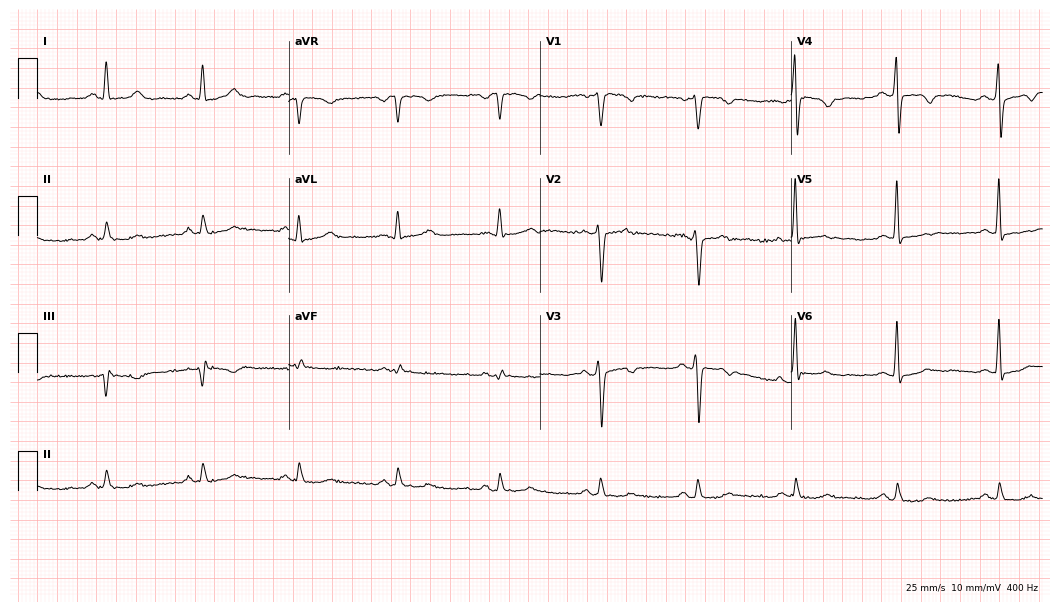
12-lead ECG from a 46-year-old male patient. Screened for six findings — first-degree AV block, right bundle branch block, left bundle branch block, sinus bradycardia, atrial fibrillation, sinus tachycardia — none is recorded. Findings outside these six are not listed.